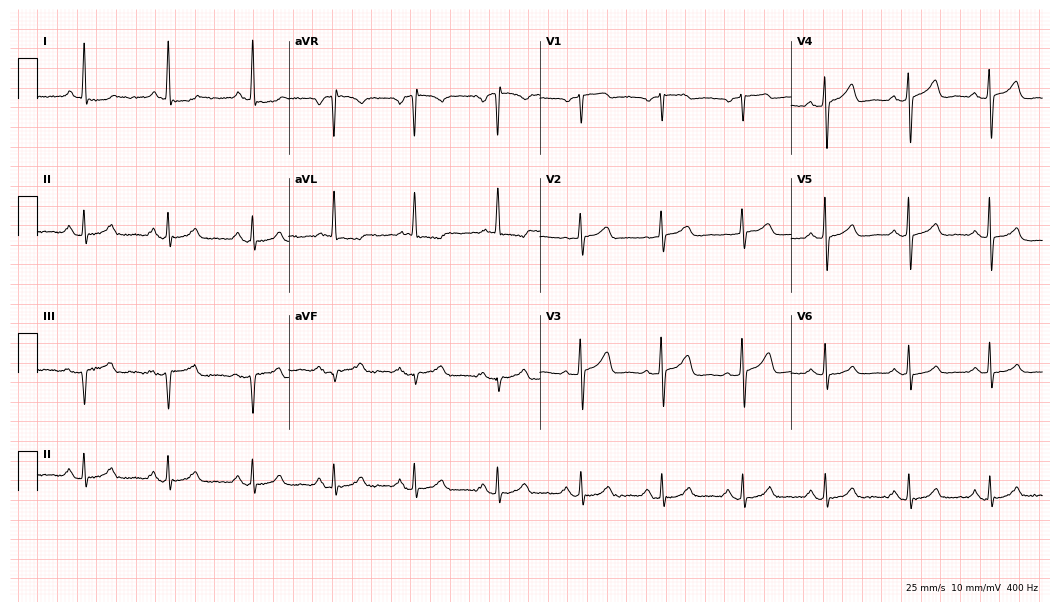
Resting 12-lead electrocardiogram. Patient: a female, 64 years old. Read as a normal ECG.